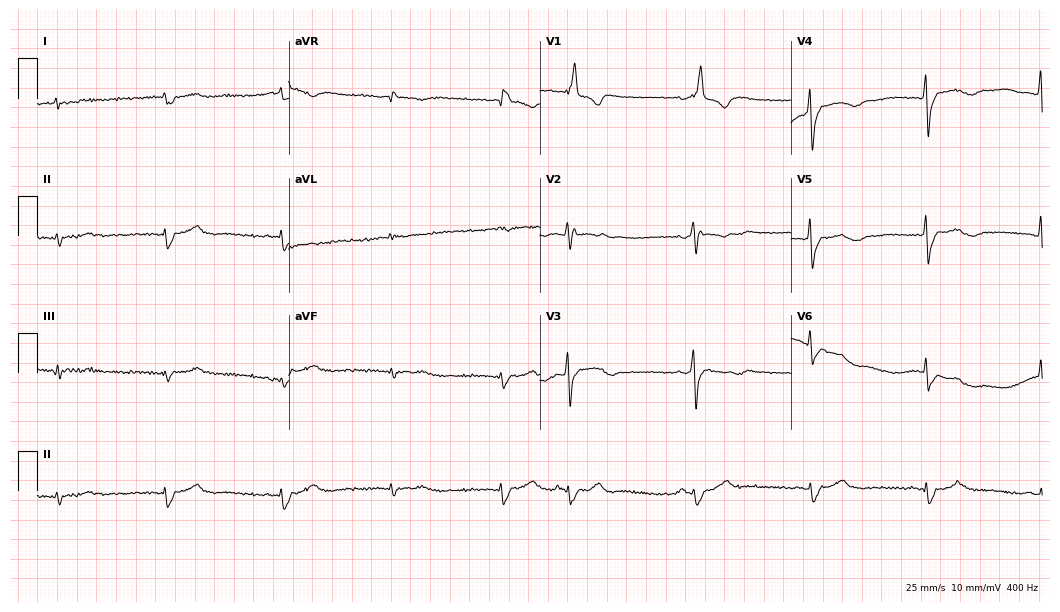
12-lead ECG from a 77-year-old male patient. Shows atrial fibrillation (AF).